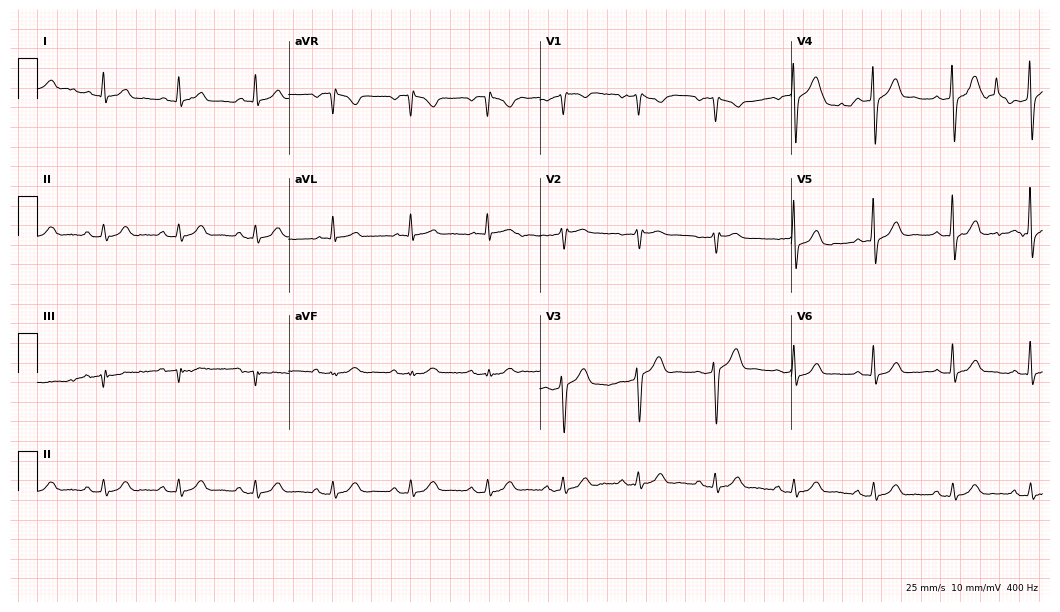
12-lead ECG (10.2-second recording at 400 Hz) from a 57-year-old male patient. Labelled as a normal ECG.